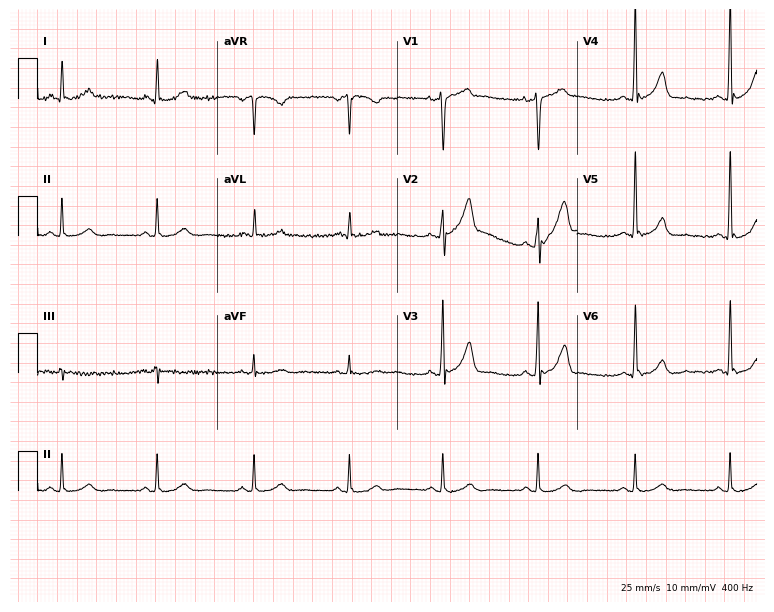
12-lead ECG (7.3-second recording at 400 Hz) from a male, 61 years old. Labelled as a normal ECG.